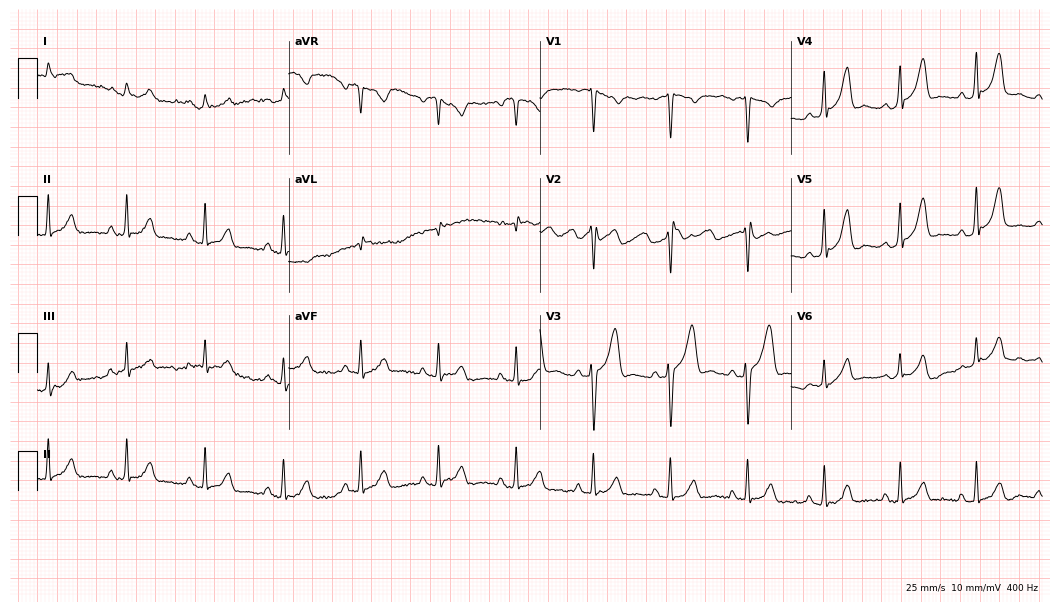
12-lead ECG from a man, 37 years old. Screened for six findings — first-degree AV block, right bundle branch block (RBBB), left bundle branch block (LBBB), sinus bradycardia, atrial fibrillation (AF), sinus tachycardia — none is recorded.